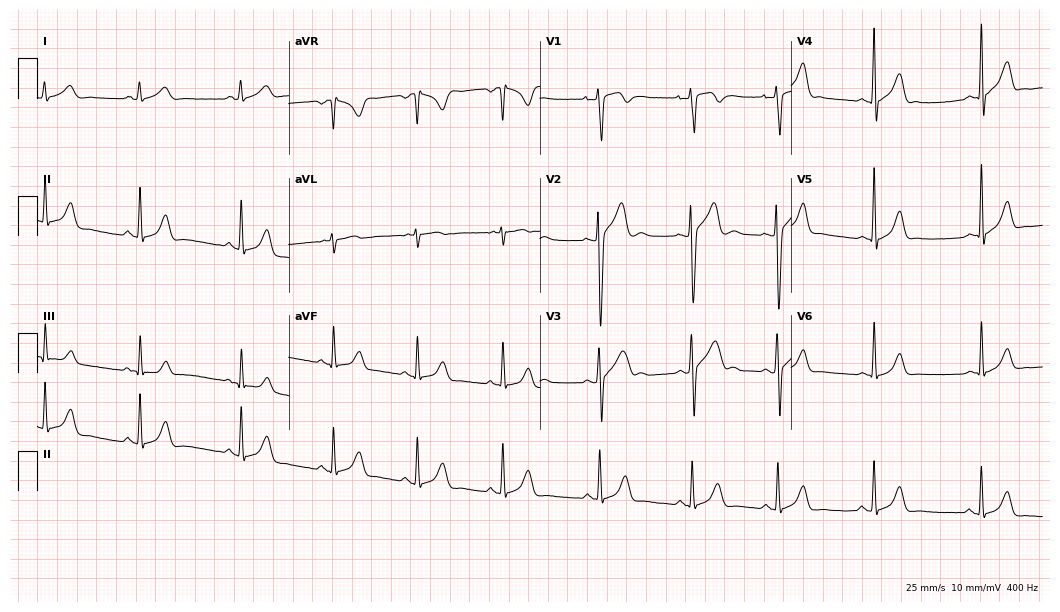
Resting 12-lead electrocardiogram. Patient: a 19-year-old male. Read as a normal ECG.